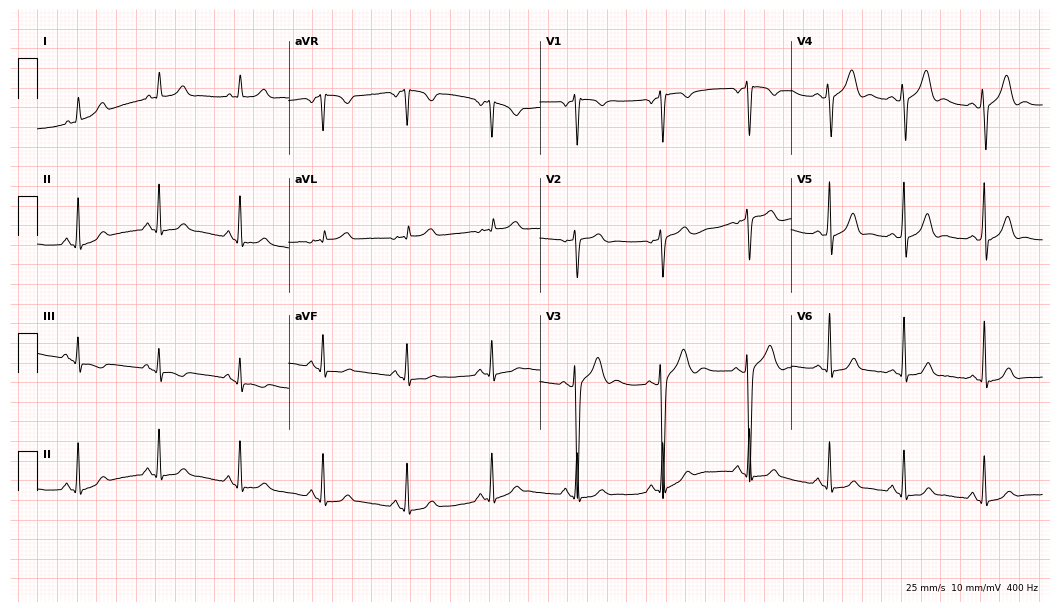
12-lead ECG from a man, 41 years old. Labelled as a normal ECG.